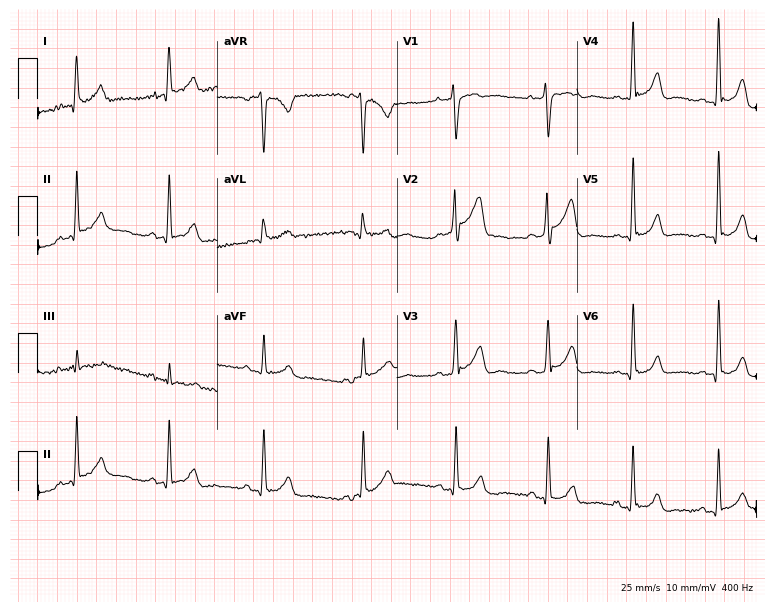
ECG (7.3-second recording at 400 Hz) — a man, 37 years old. Screened for six findings — first-degree AV block, right bundle branch block, left bundle branch block, sinus bradycardia, atrial fibrillation, sinus tachycardia — none is recorded.